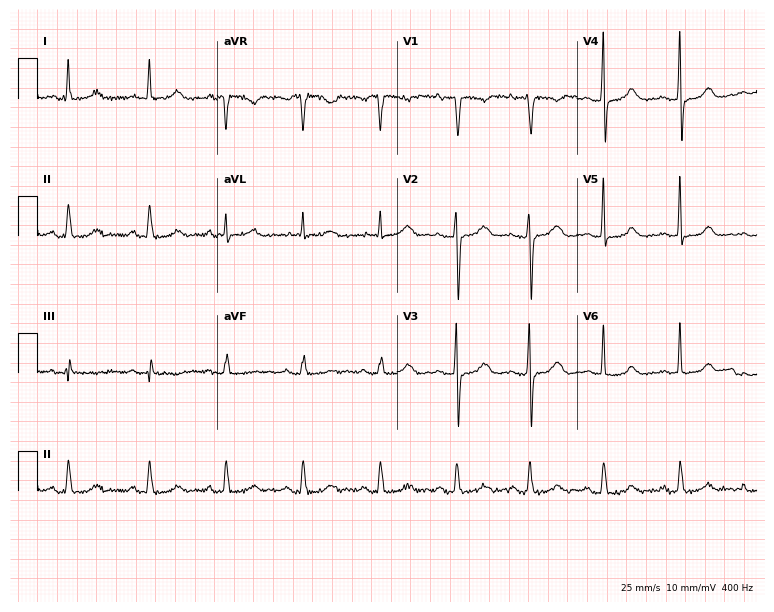
ECG (7.3-second recording at 400 Hz) — a female patient, 41 years old. Screened for six findings — first-degree AV block, right bundle branch block (RBBB), left bundle branch block (LBBB), sinus bradycardia, atrial fibrillation (AF), sinus tachycardia — none is recorded. Only these six findings were labelled.